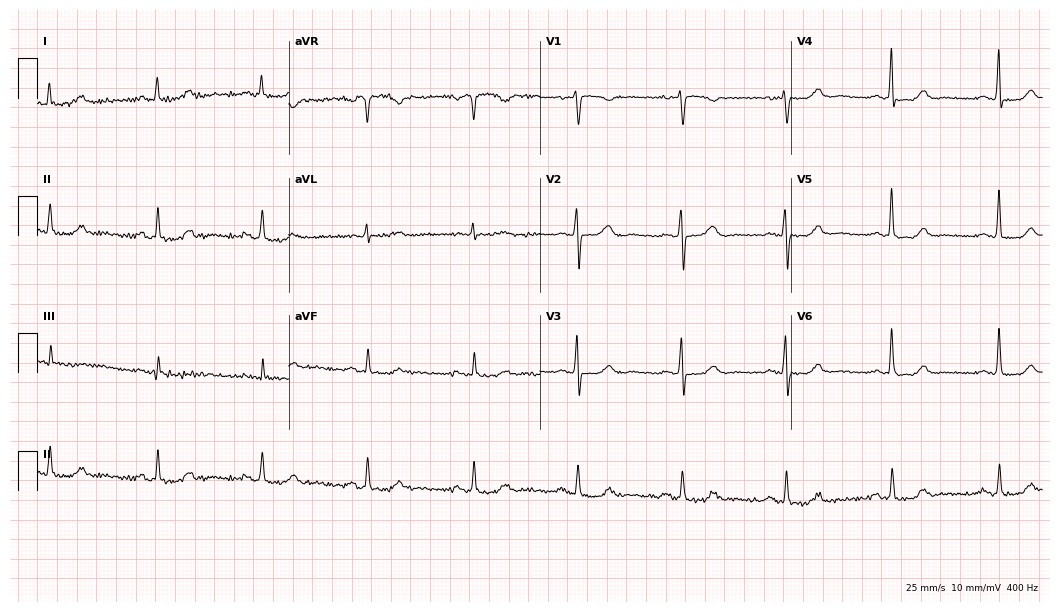
Resting 12-lead electrocardiogram. Patient: a female, 56 years old. None of these six findings is recorded: first-degree AV block, right bundle branch block, left bundle branch block, sinus bradycardia, atrial fibrillation, sinus tachycardia.